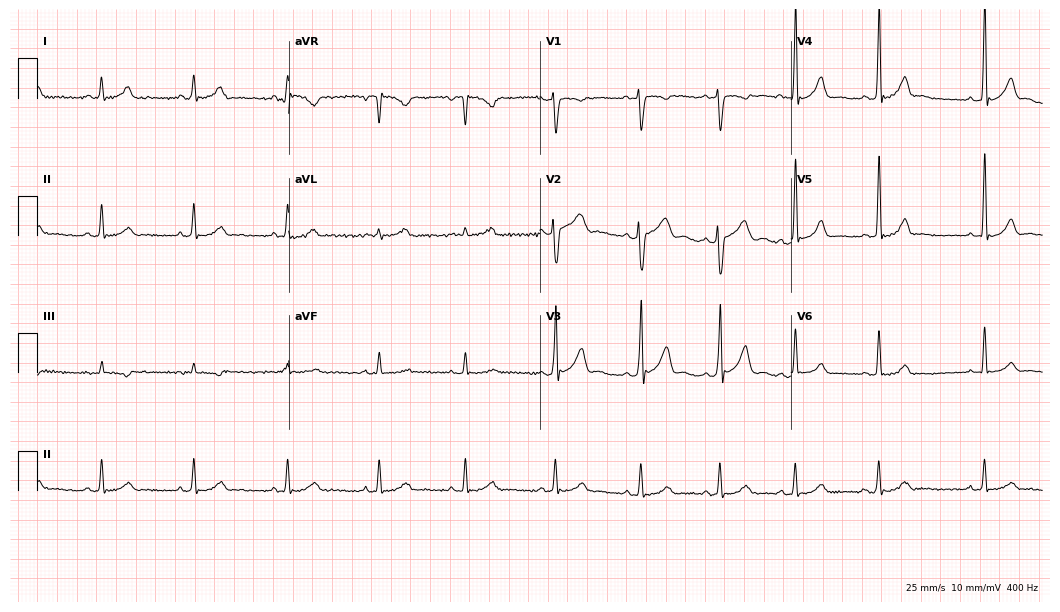
Standard 12-lead ECG recorded from a 26-year-old man (10.2-second recording at 400 Hz). Read as a normal ECG.